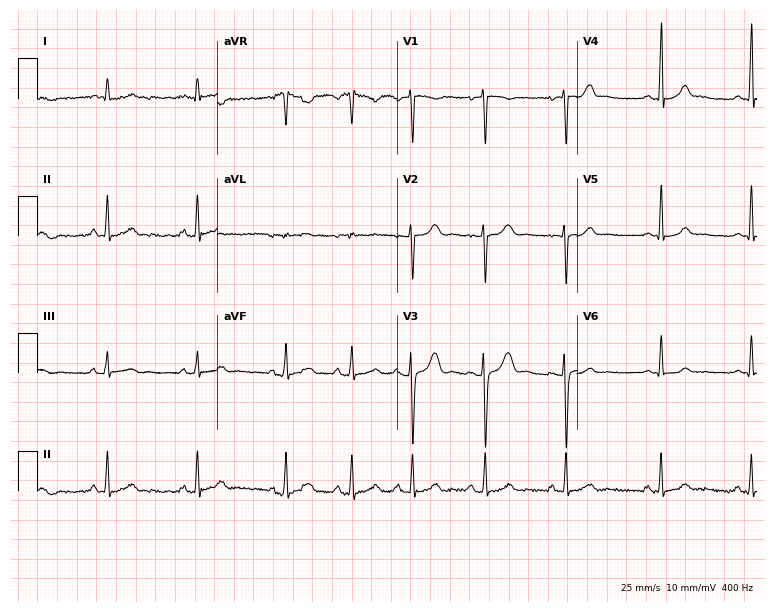
12-lead ECG from a female patient, 17 years old. Screened for six findings — first-degree AV block, right bundle branch block (RBBB), left bundle branch block (LBBB), sinus bradycardia, atrial fibrillation (AF), sinus tachycardia — none is recorded.